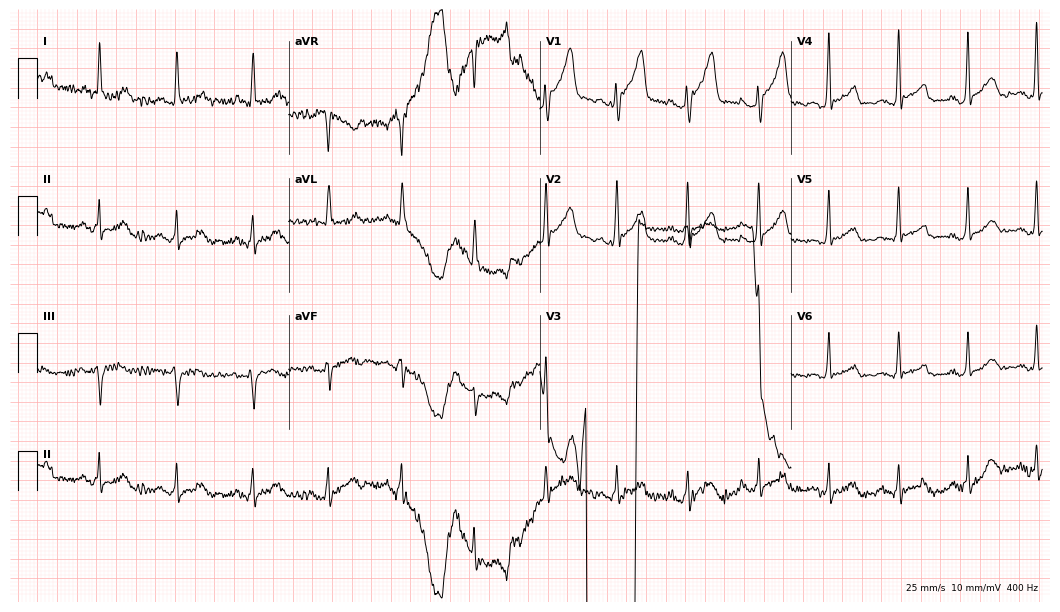
Resting 12-lead electrocardiogram. Patient: a 69-year-old male. None of these six findings is recorded: first-degree AV block, right bundle branch block, left bundle branch block, sinus bradycardia, atrial fibrillation, sinus tachycardia. Other findings, if any, are not listed.